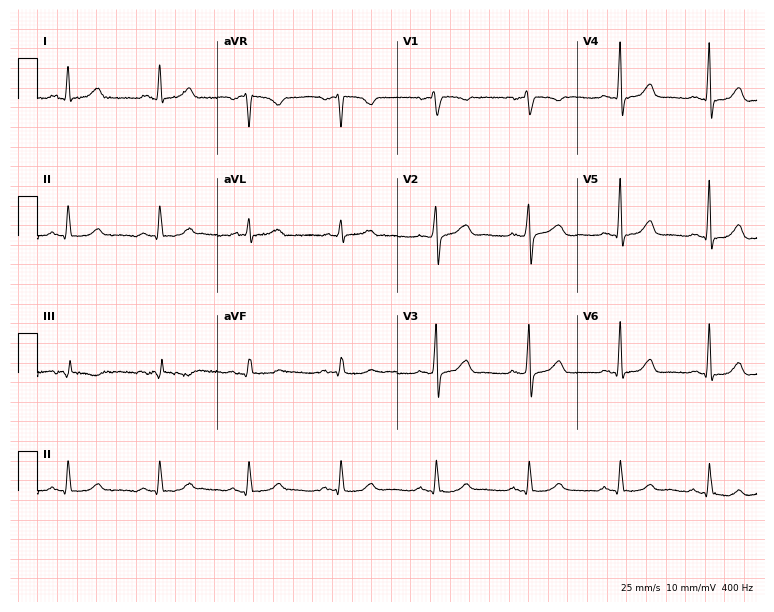
12-lead ECG (7.3-second recording at 400 Hz) from a woman, 44 years old. Labelled as a normal ECG.